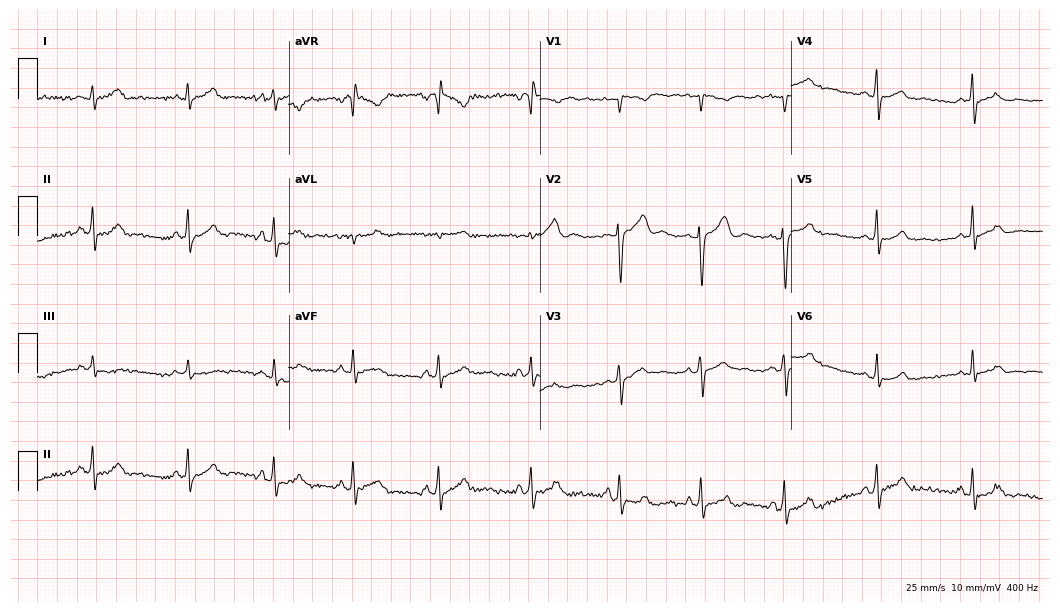
Resting 12-lead electrocardiogram (10.2-second recording at 400 Hz). Patient: an 18-year-old female. Read as a normal ECG.